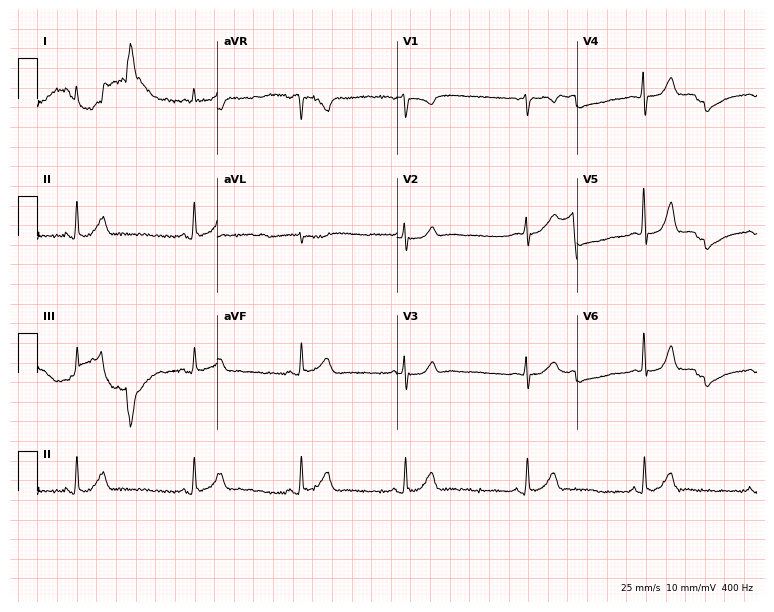
Standard 12-lead ECG recorded from a 50-year-old male patient (7.3-second recording at 400 Hz). None of these six findings is recorded: first-degree AV block, right bundle branch block (RBBB), left bundle branch block (LBBB), sinus bradycardia, atrial fibrillation (AF), sinus tachycardia. Other findings, if any, are not listed.